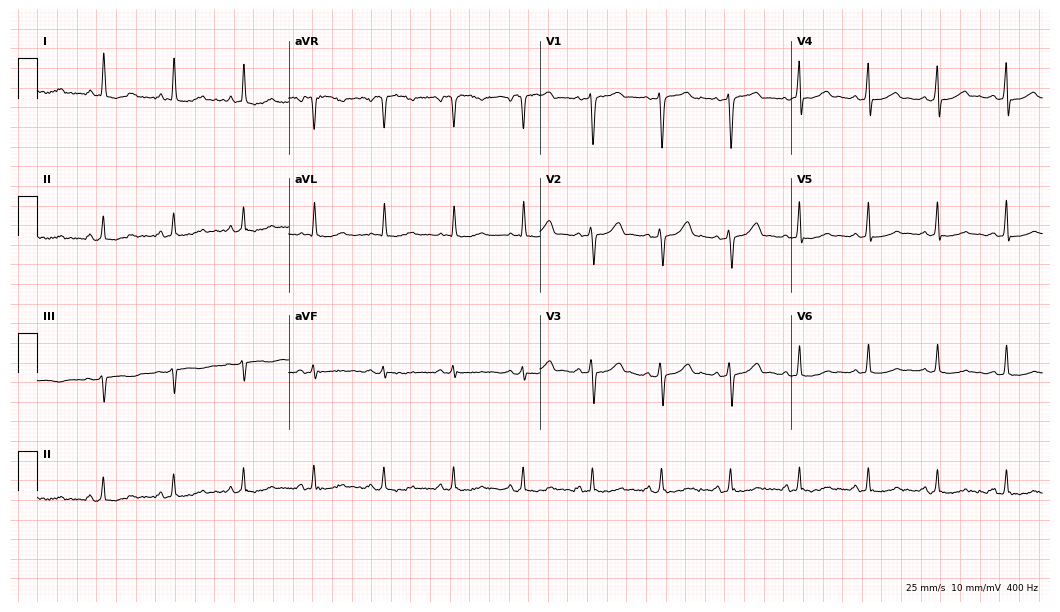
Electrocardiogram (10.2-second recording at 400 Hz), a woman, 49 years old. Overall reading on record: normal ECG.